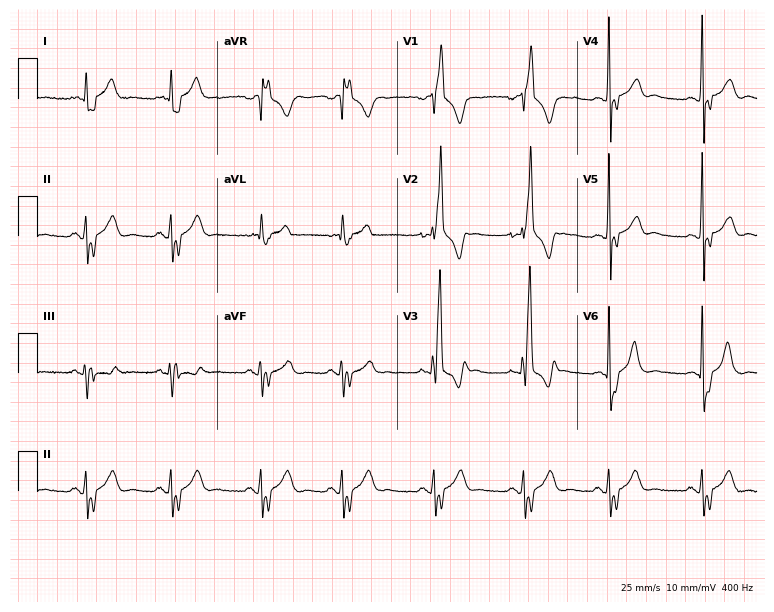
12-lead ECG from a 17-year-old male. Screened for six findings — first-degree AV block, right bundle branch block (RBBB), left bundle branch block (LBBB), sinus bradycardia, atrial fibrillation (AF), sinus tachycardia — none is recorded.